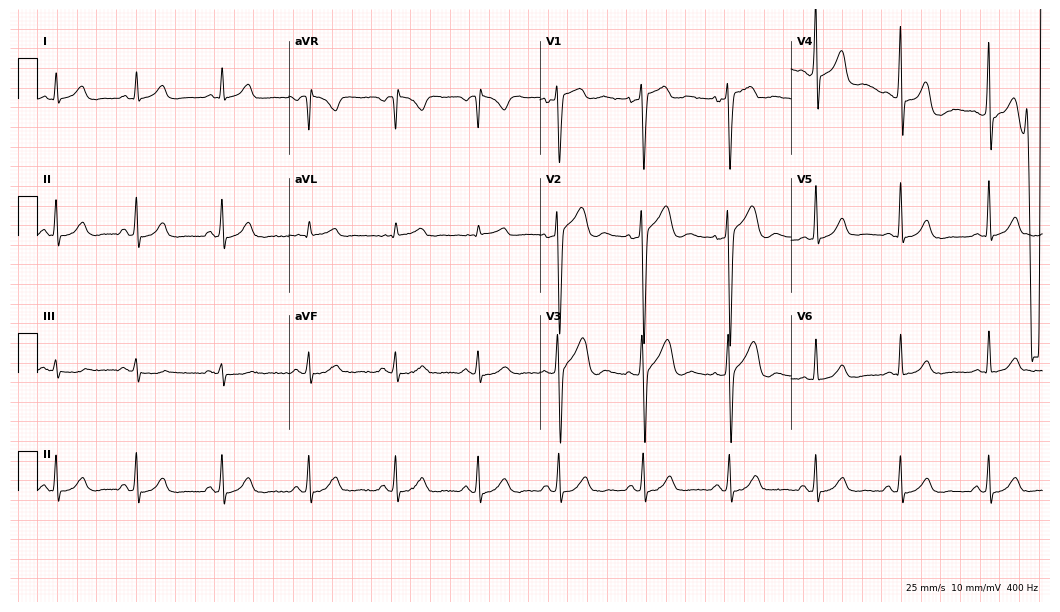
Standard 12-lead ECG recorded from a male, 32 years old (10.2-second recording at 400 Hz). Read as a normal ECG.